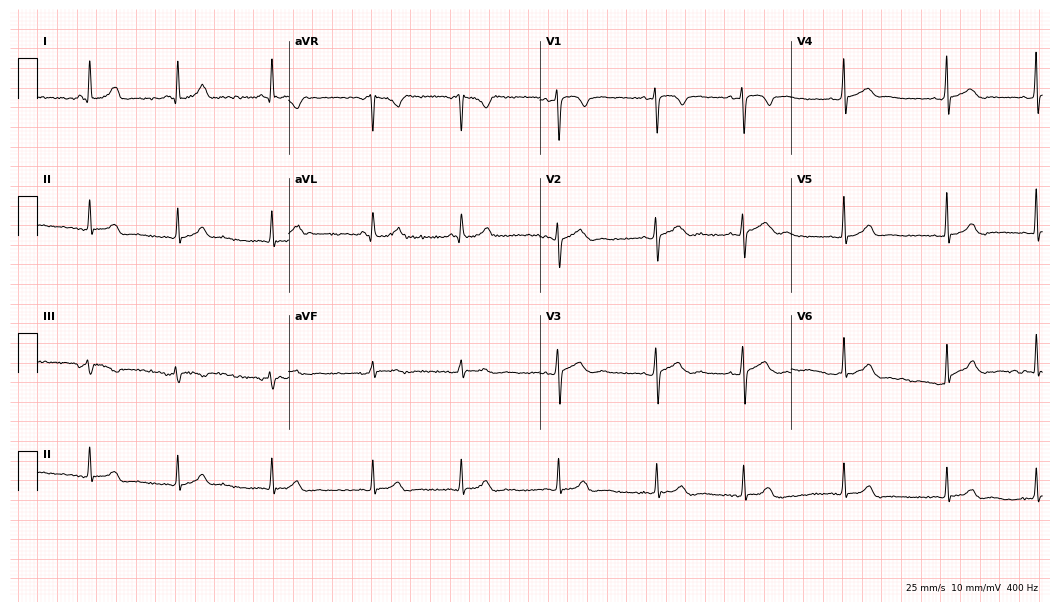
12-lead ECG from a 17-year-old female patient. No first-degree AV block, right bundle branch block, left bundle branch block, sinus bradycardia, atrial fibrillation or sinus tachycardia recorded for this tracing.